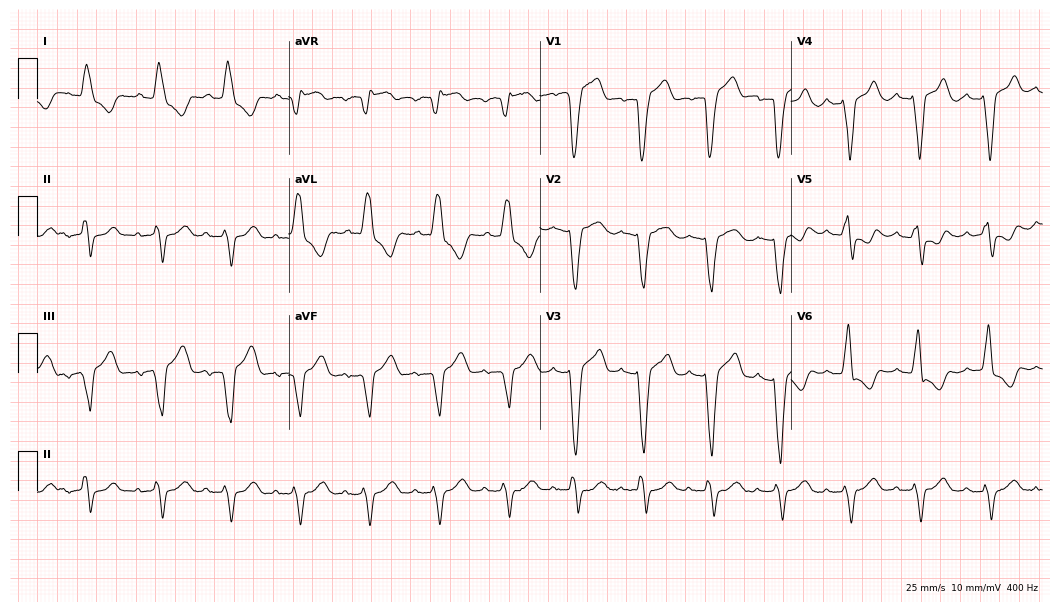
Resting 12-lead electrocardiogram (10.2-second recording at 400 Hz). Patient: a 79-year-old male. The tracing shows left bundle branch block.